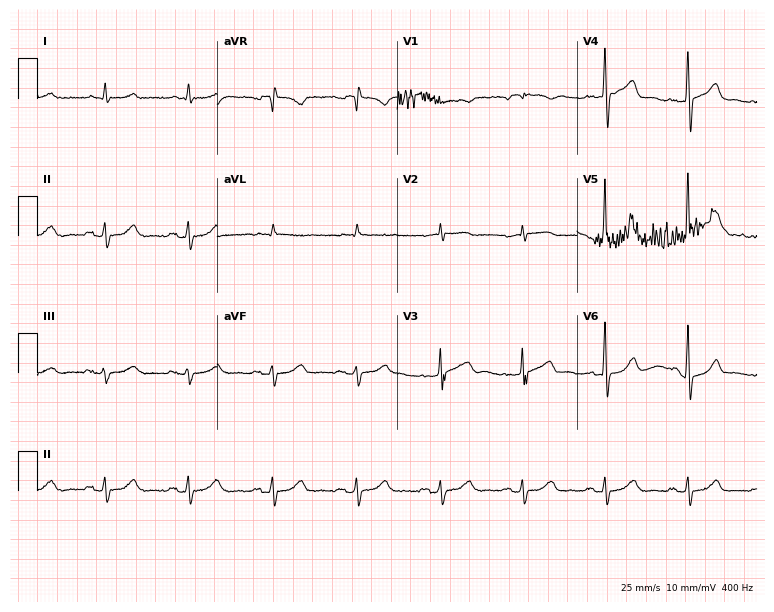
Standard 12-lead ECG recorded from a male, 62 years old. Read as a normal ECG.